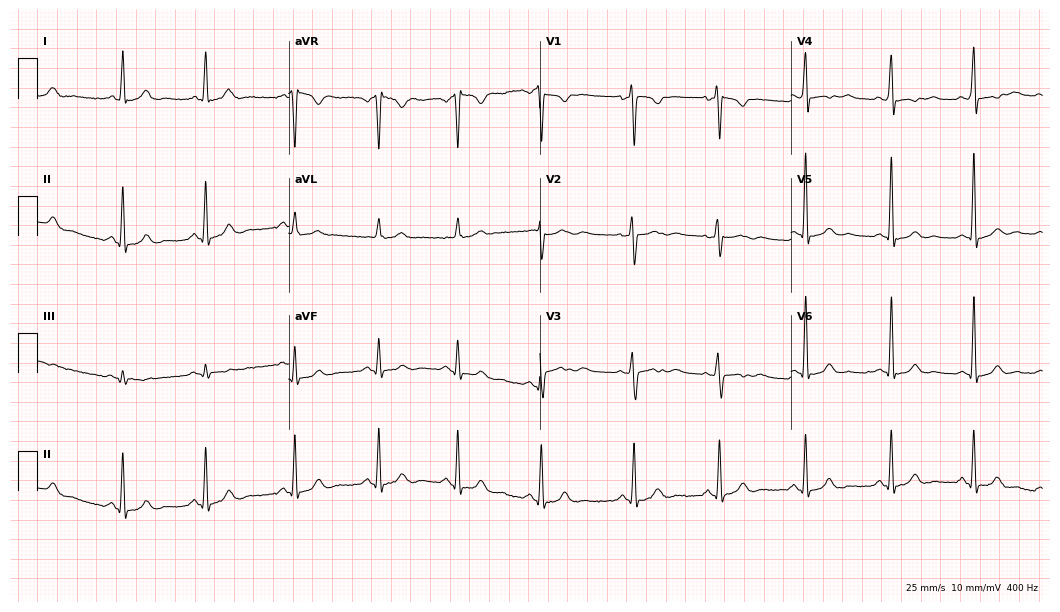
Standard 12-lead ECG recorded from a female, 32 years old. None of these six findings is recorded: first-degree AV block, right bundle branch block, left bundle branch block, sinus bradycardia, atrial fibrillation, sinus tachycardia.